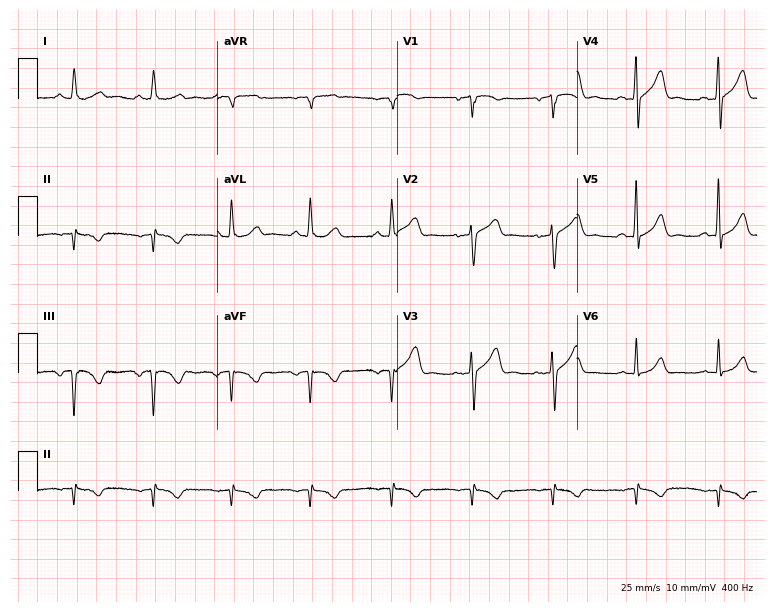
Standard 12-lead ECG recorded from a 63-year-old male patient. None of these six findings is recorded: first-degree AV block, right bundle branch block (RBBB), left bundle branch block (LBBB), sinus bradycardia, atrial fibrillation (AF), sinus tachycardia.